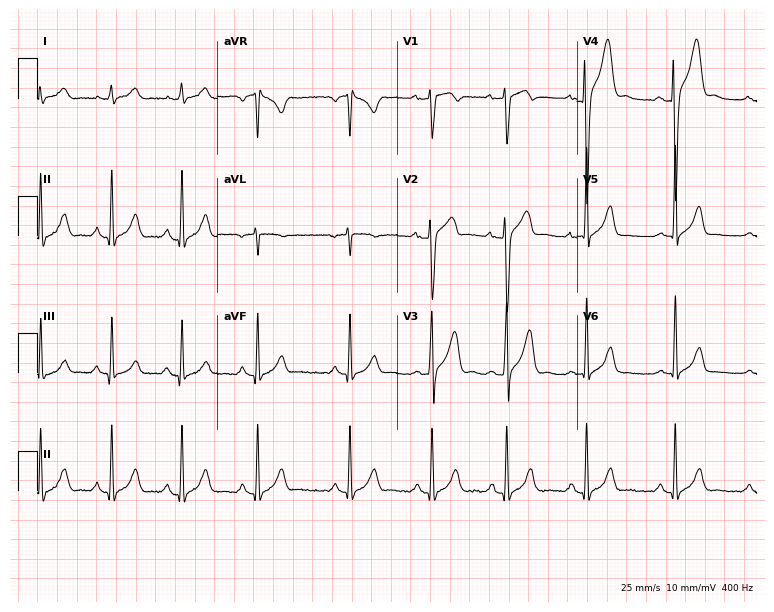
ECG — a man, 26 years old. Labelled as a normal ECG.